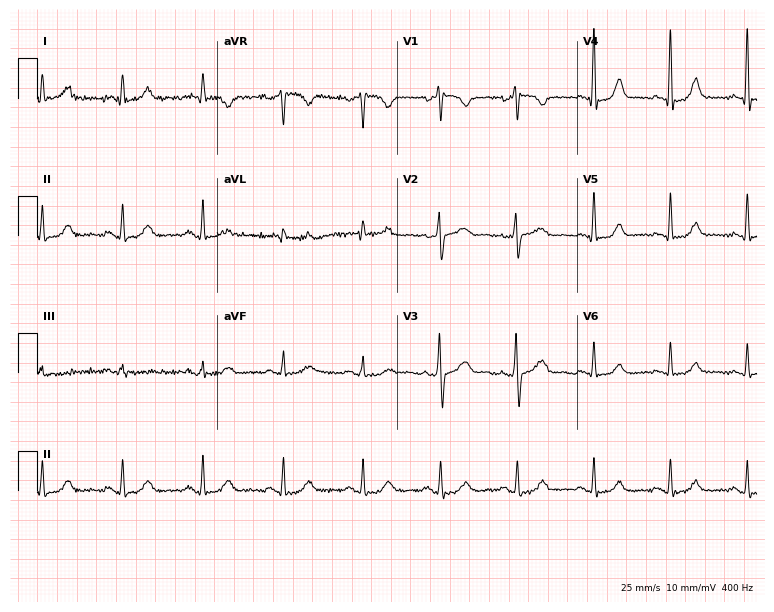
12-lead ECG from a female patient, 47 years old (7.3-second recording at 400 Hz). No first-degree AV block, right bundle branch block (RBBB), left bundle branch block (LBBB), sinus bradycardia, atrial fibrillation (AF) or sinus tachycardia recorded for this tracing.